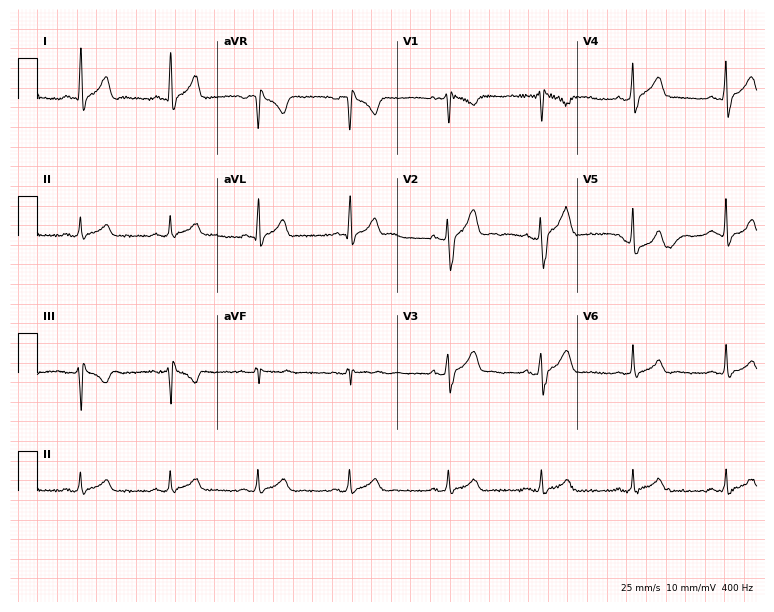
12-lead ECG (7.3-second recording at 400 Hz) from a male patient, 38 years old. Screened for six findings — first-degree AV block, right bundle branch block (RBBB), left bundle branch block (LBBB), sinus bradycardia, atrial fibrillation (AF), sinus tachycardia — none is recorded.